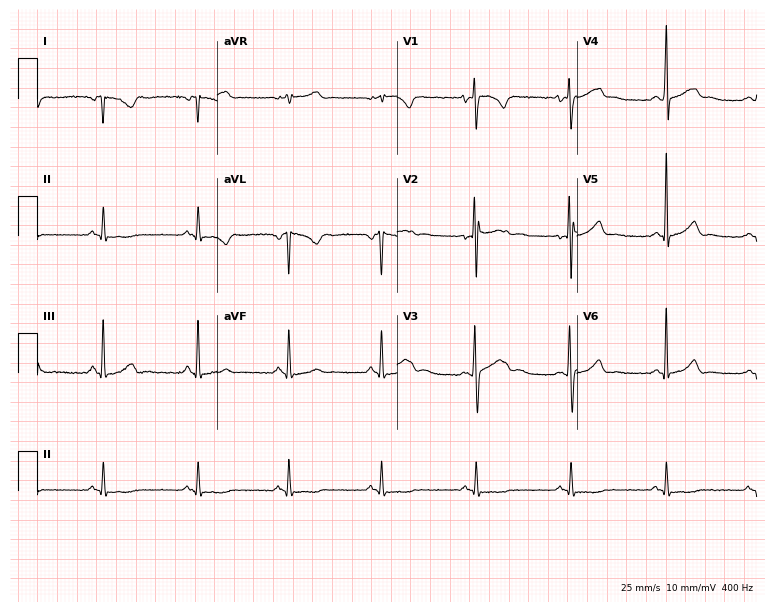
12-lead ECG (7.3-second recording at 400 Hz) from a 27-year-old woman. Screened for six findings — first-degree AV block, right bundle branch block, left bundle branch block, sinus bradycardia, atrial fibrillation, sinus tachycardia — none is recorded.